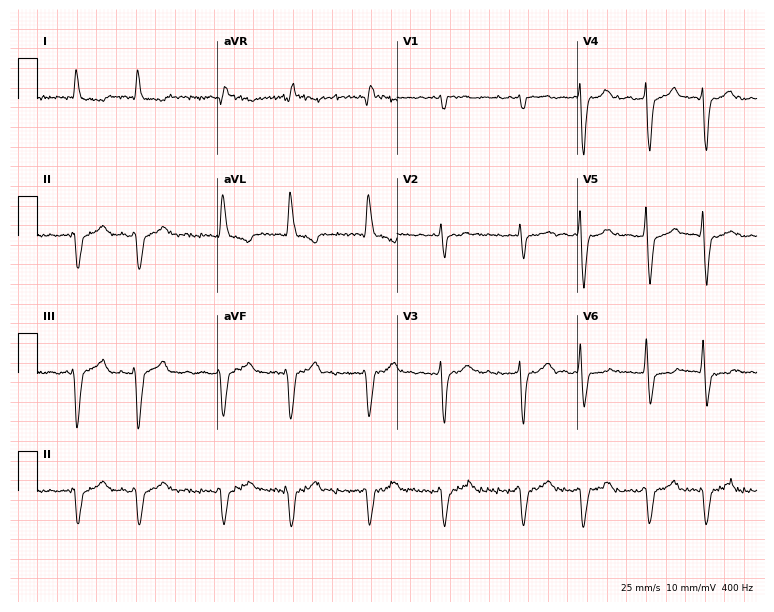
12-lead ECG from an 85-year-old man. No first-degree AV block, right bundle branch block (RBBB), left bundle branch block (LBBB), sinus bradycardia, atrial fibrillation (AF) or sinus tachycardia recorded for this tracing.